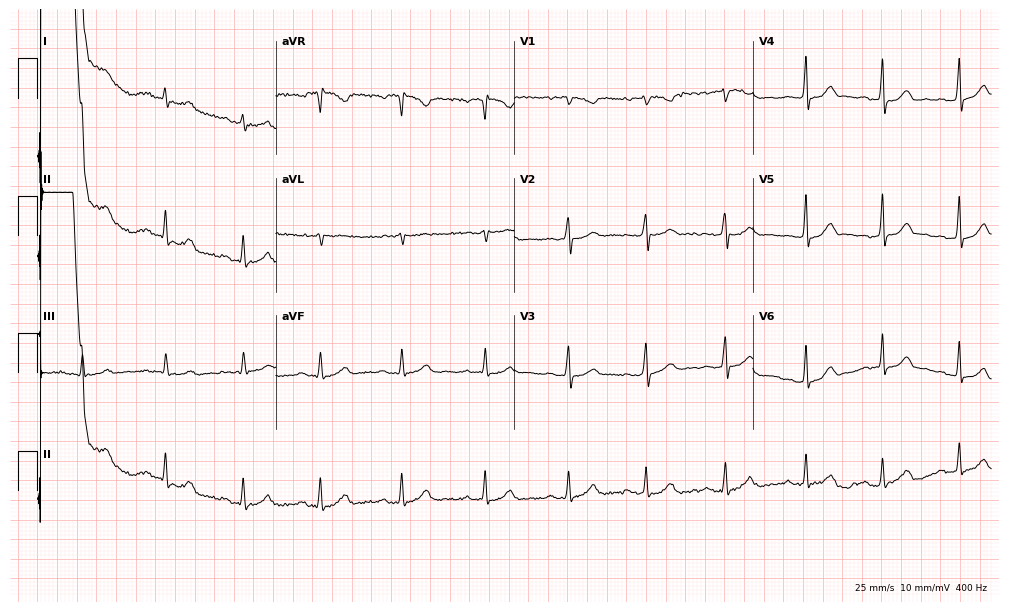
12-lead ECG from a 32-year-old female patient (9.7-second recording at 400 Hz). No first-degree AV block, right bundle branch block (RBBB), left bundle branch block (LBBB), sinus bradycardia, atrial fibrillation (AF) or sinus tachycardia recorded for this tracing.